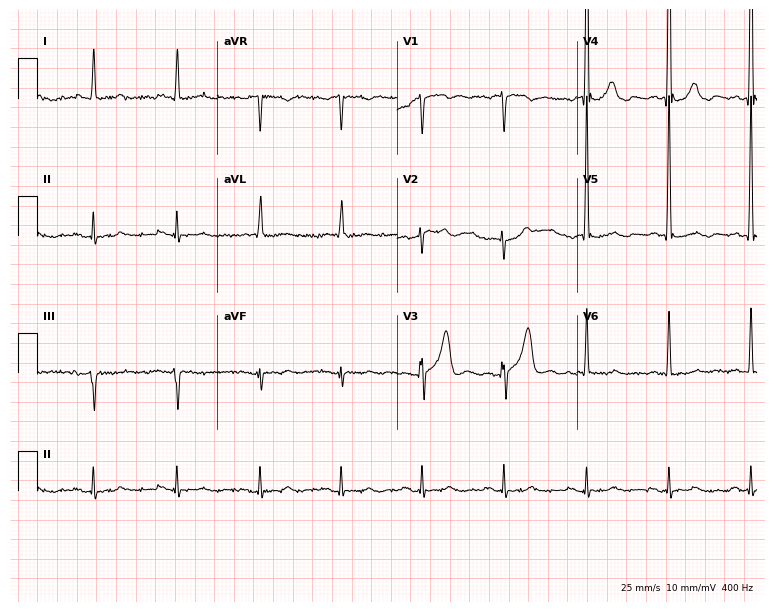
Electrocardiogram (7.3-second recording at 400 Hz), a male patient, 72 years old. Of the six screened findings (first-degree AV block, right bundle branch block (RBBB), left bundle branch block (LBBB), sinus bradycardia, atrial fibrillation (AF), sinus tachycardia), none is recorded.